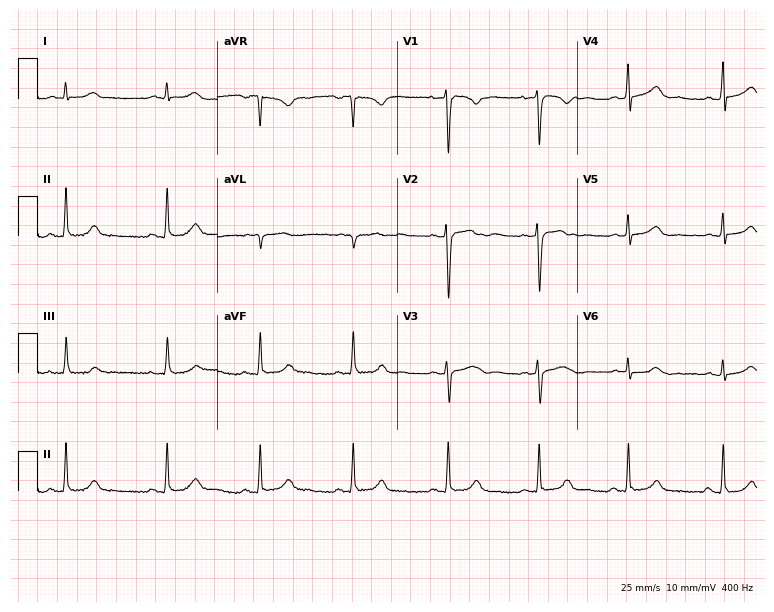
Resting 12-lead electrocardiogram (7.3-second recording at 400 Hz). Patient: a 24-year-old woman. Read as a normal ECG.